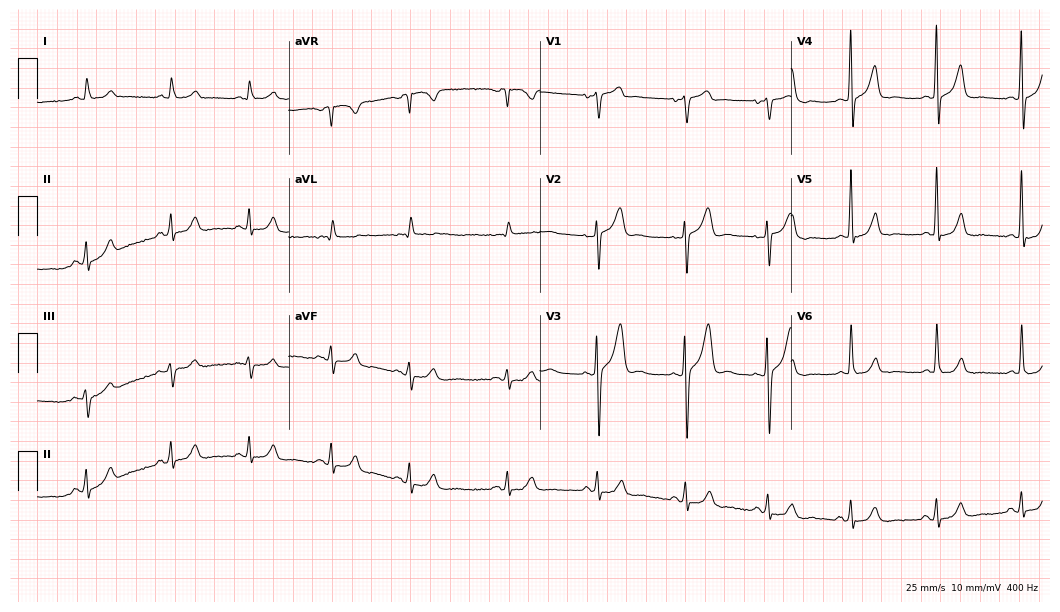
12-lead ECG (10.2-second recording at 400 Hz) from a male patient, 69 years old. Labelled as a normal ECG.